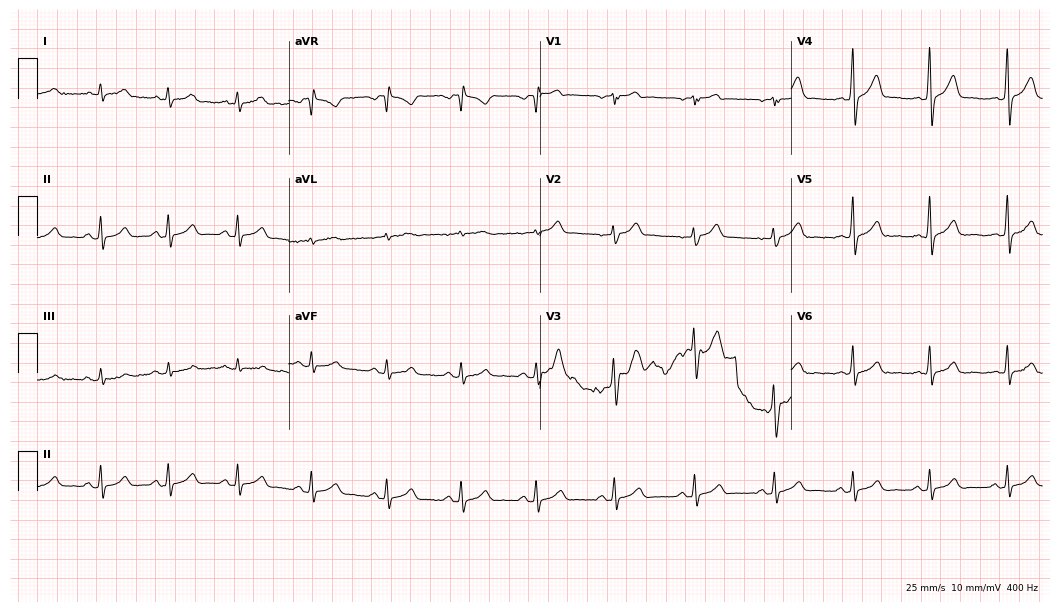
Electrocardiogram, a male patient, 35 years old. Overall reading on record: normal ECG.